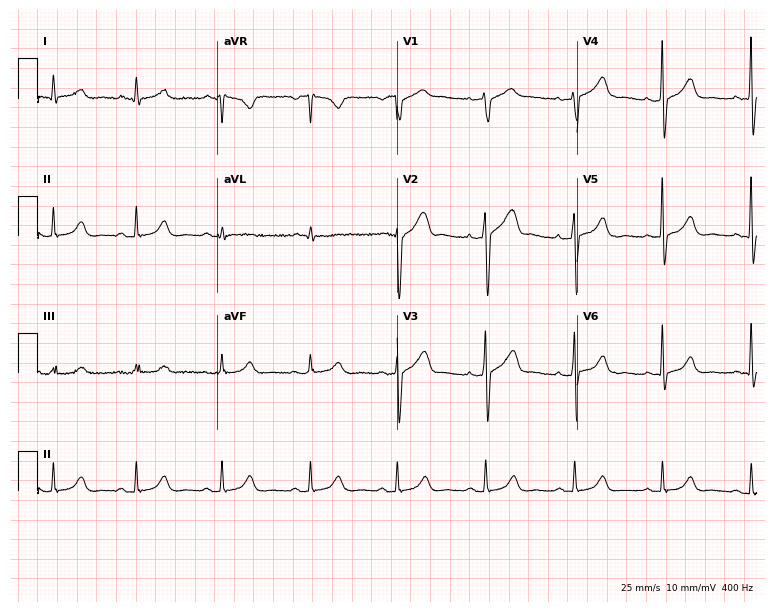
Resting 12-lead electrocardiogram (7.3-second recording at 400 Hz). Patient: a man, 57 years old. None of these six findings is recorded: first-degree AV block, right bundle branch block, left bundle branch block, sinus bradycardia, atrial fibrillation, sinus tachycardia. Findings outside these six are not listed.